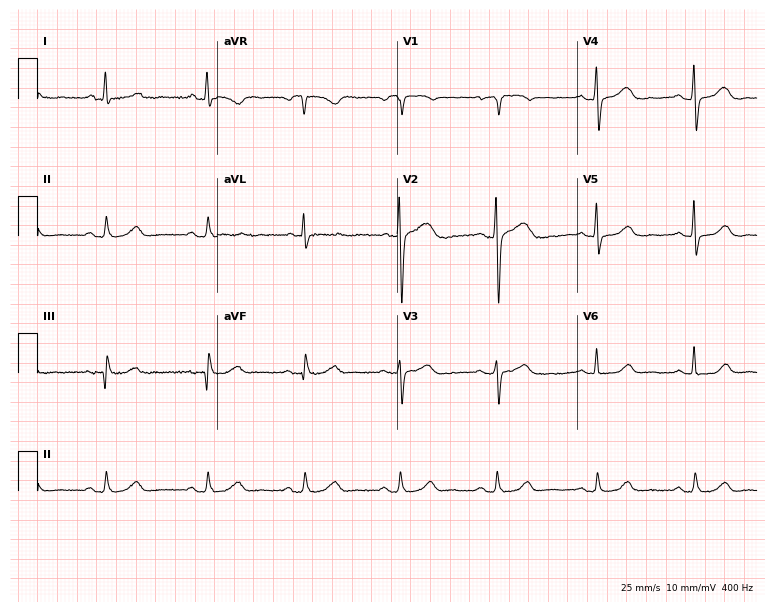
Electrocardiogram, a 57-year-old female. Of the six screened findings (first-degree AV block, right bundle branch block (RBBB), left bundle branch block (LBBB), sinus bradycardia, atrial fibrillation (AF), sinus tachycardia), none is recorded.